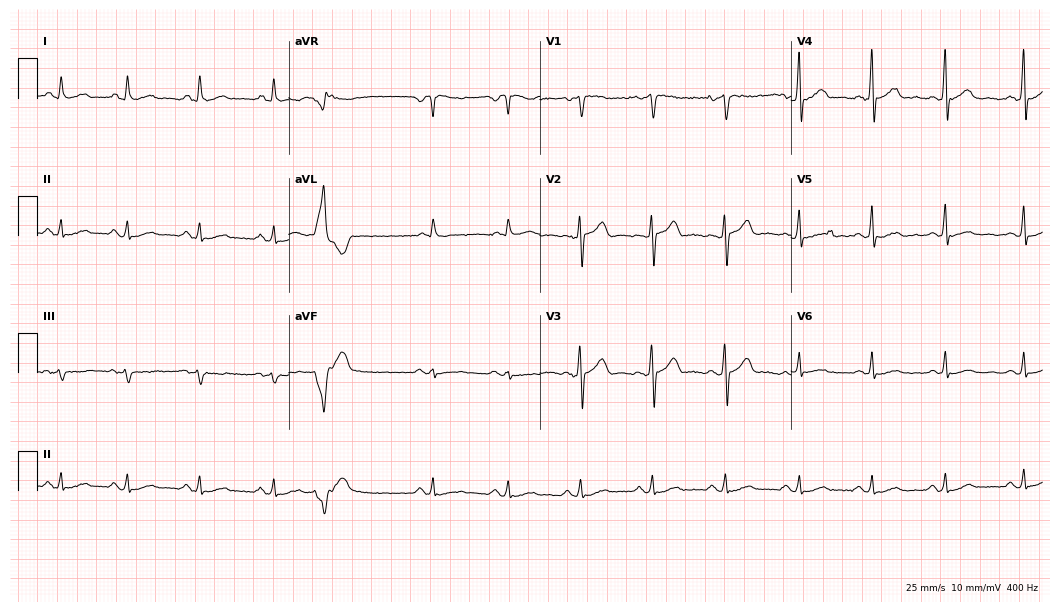
ECG — a male, 43 years old. Screened for six findings — first-degree AV block, right bundle branch block, left bundle branch block, sinus bradycardia, atrial fibrillation, sinus tachycardia — none is recorded.